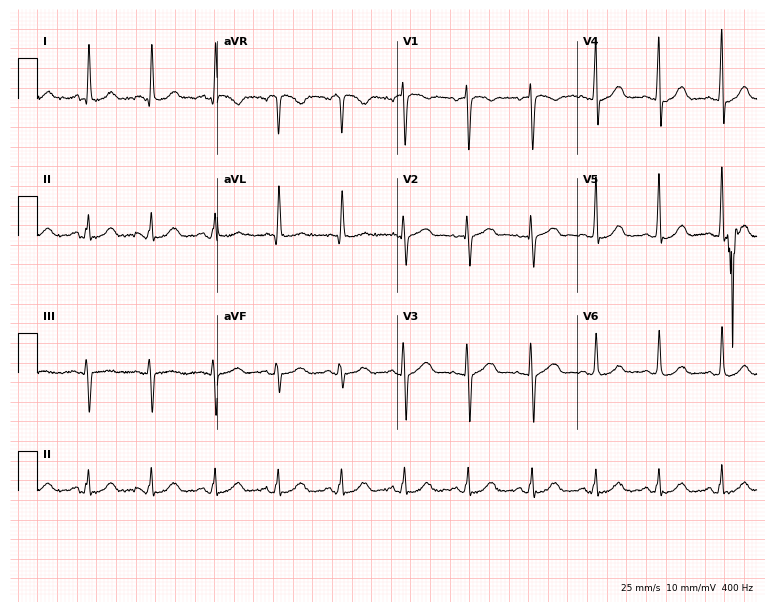
12-lead ECG from a female, 65 years old. Recorded interpretation: within normal limits.